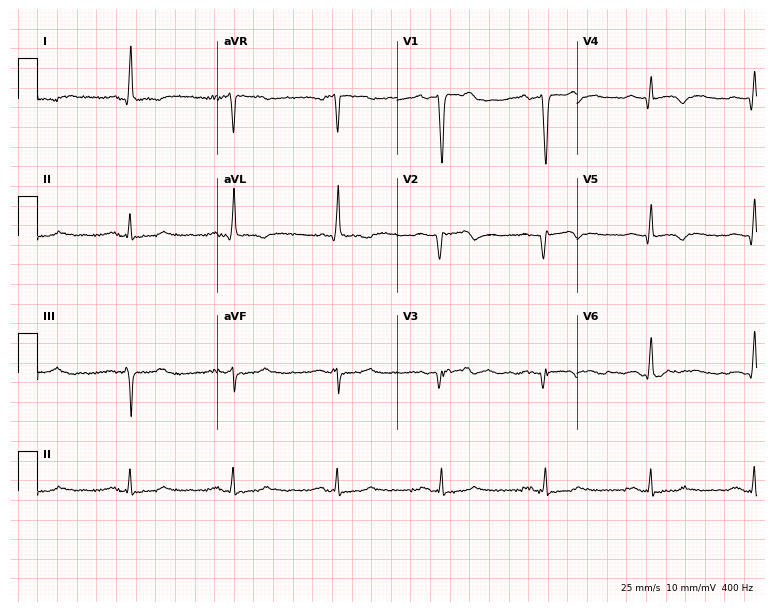
12-lead ECG (7.3-second recording at 400 Hz) from a 69-year-old female. Screened for six findings — first-degree AV block, right bundle branch block, left bundle branch block, sinus bradycardia, atrial fibrillation, sinus tachycardia — none is recorded. Other findings, if any, are not listed.